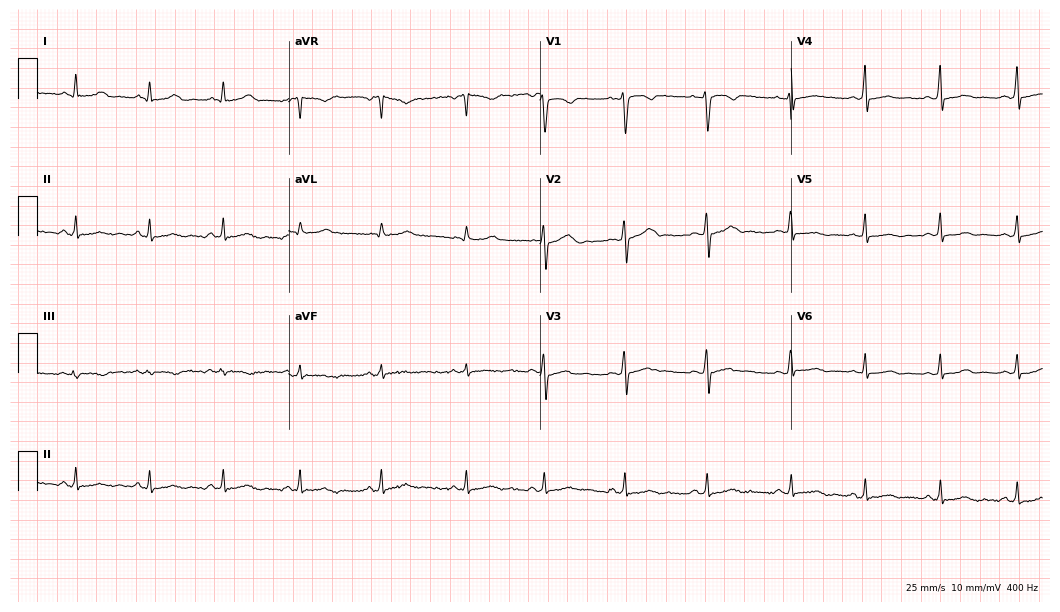
Standard 12-lead ECG recorded from a 27-year-old female patient (10.2-second recording at 400 Hz). Read as a normal ECG.